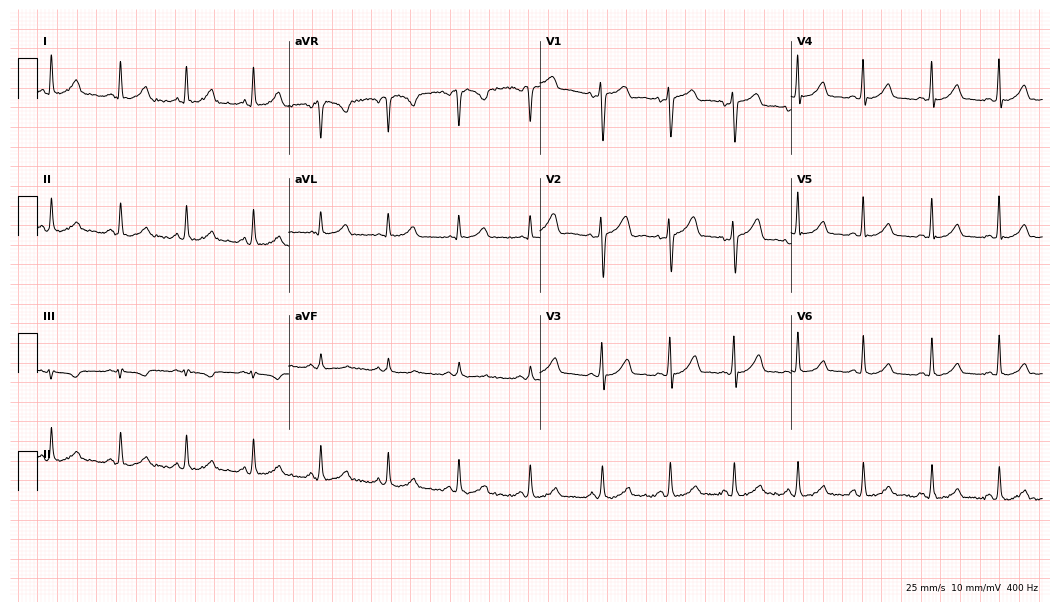
12-lead ECG from a 34-year-old female patient. Recorded interpretation: within normal limits.